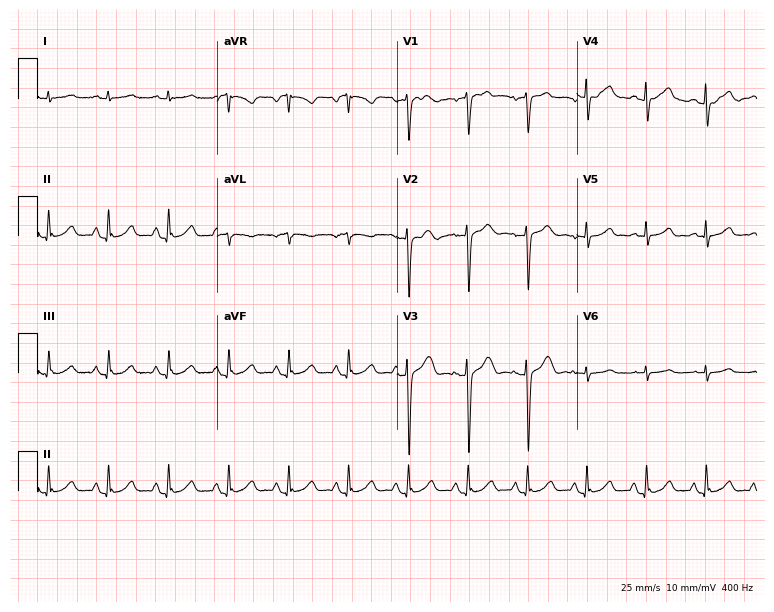
12-lead ECG from a 65-year-old woman. Labelled as a normal ECG.